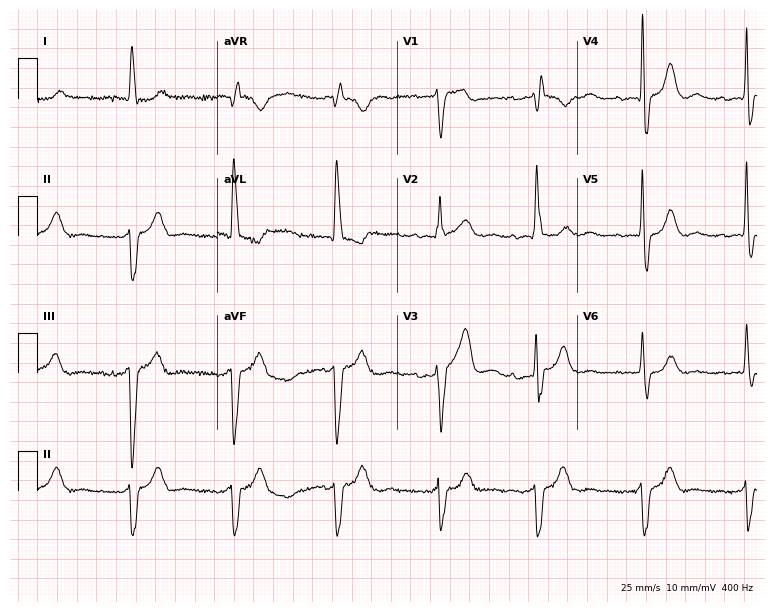
Electrocardiogram (7.3-second recording at 400 Hz), a female patient, 74 years old. Interpretation includes first-degree AV block, left bundle branch block.